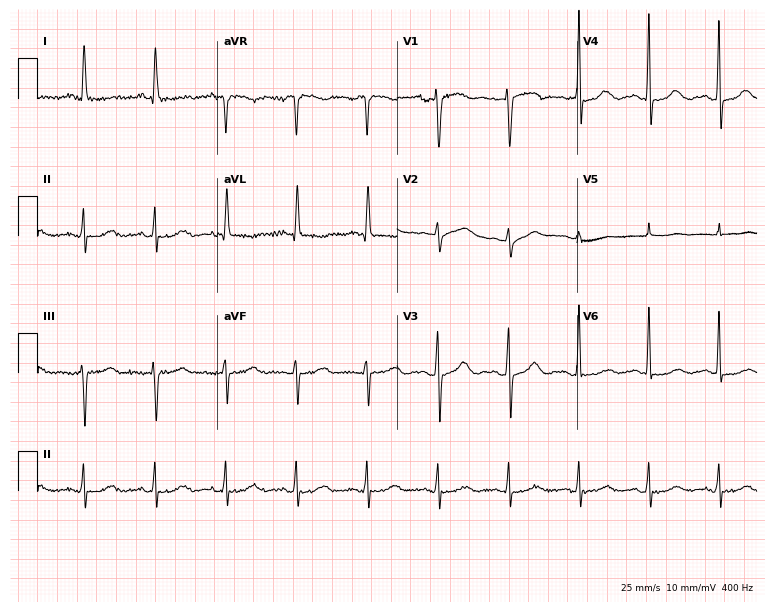
12-lead ECG (7.3-second recording at 400 Hz) from a woman, 70 years old. Labelled as a normal ECG.